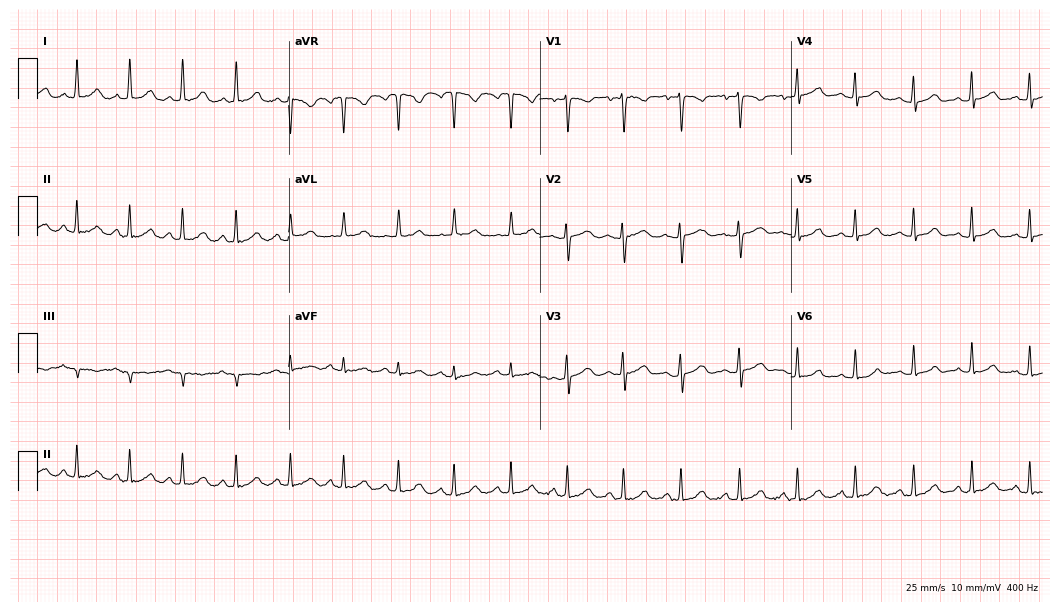
12-lead ECG from a woman, 24 years old. Findings include sinus tachycardia (a sinus rate of 100 beats per minute or more).